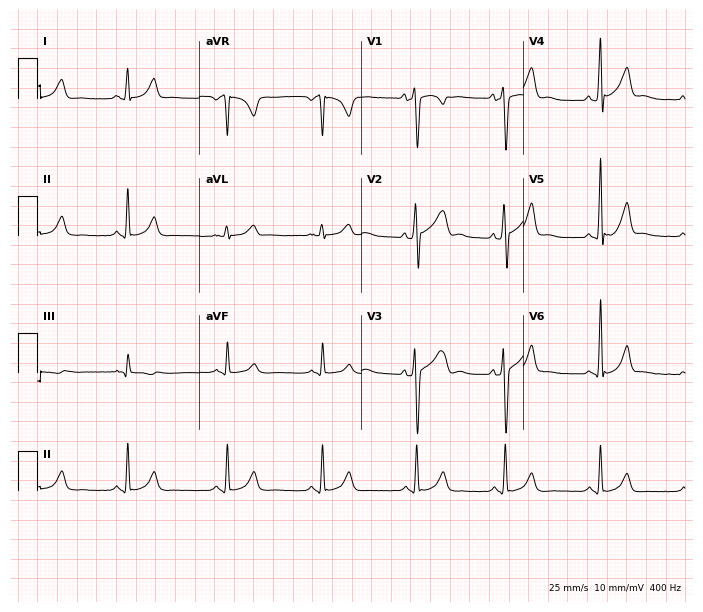
12-lead ECG from a male, 28 years old (6.6-second recording at 400 Hz). No first-degree AV block, right bundle branch block (RBBB), left bundle branch block (LBBB), sinus bradycardia, atrial fibrillation (AF) or sinus tachycardia recorded for this tracing.